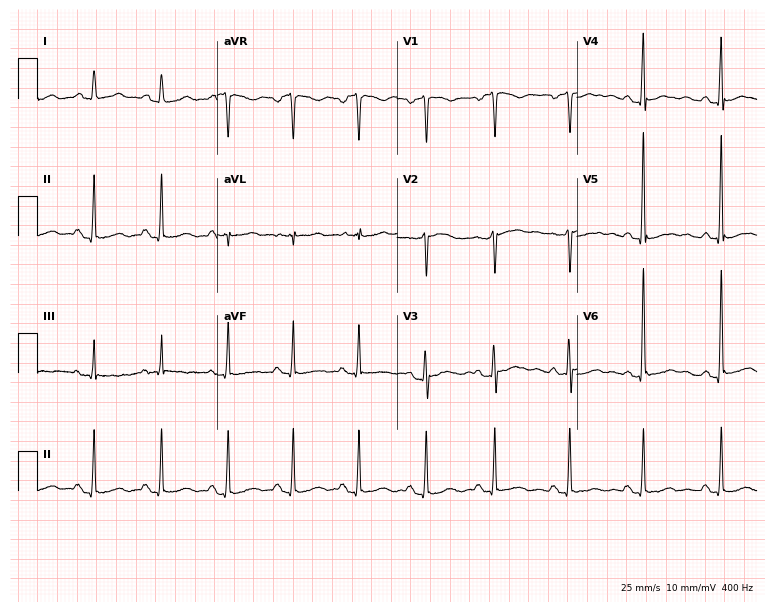
12-lead ECG (7.3-second recording at 400 Hz) from a 42-year-old woman. Screened for six findings — first-degree AV block, right bundle branch block, left bundle branch block, sinus bradycardia, atrial fibrillation, sinus tachycardia — none is recorded. Only these six findings were labelled.